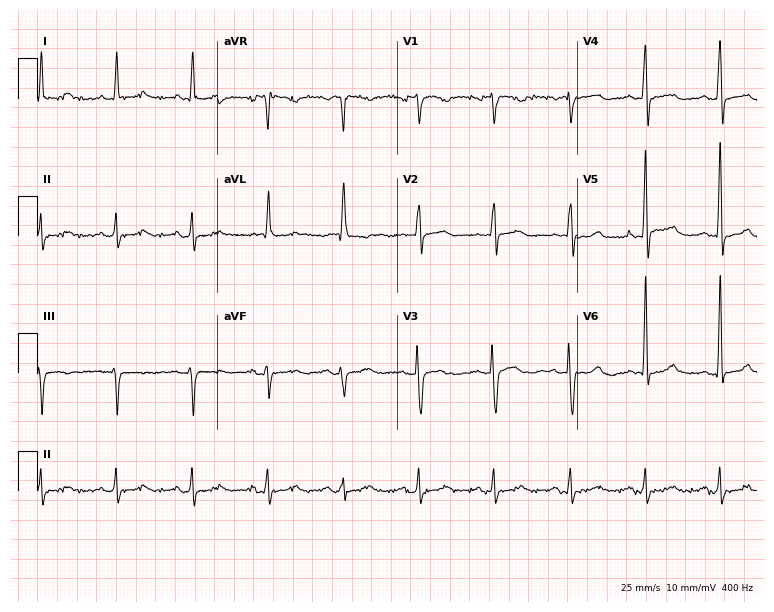
ECG — a man, 58 years old. Screened for six findings — first-degree AV block, right bundle branch block, left bundle branch block, sinus bradycardia, atrial fibrillation, sinus tachycardia — none is recorded. Findings outside these six are not listed.